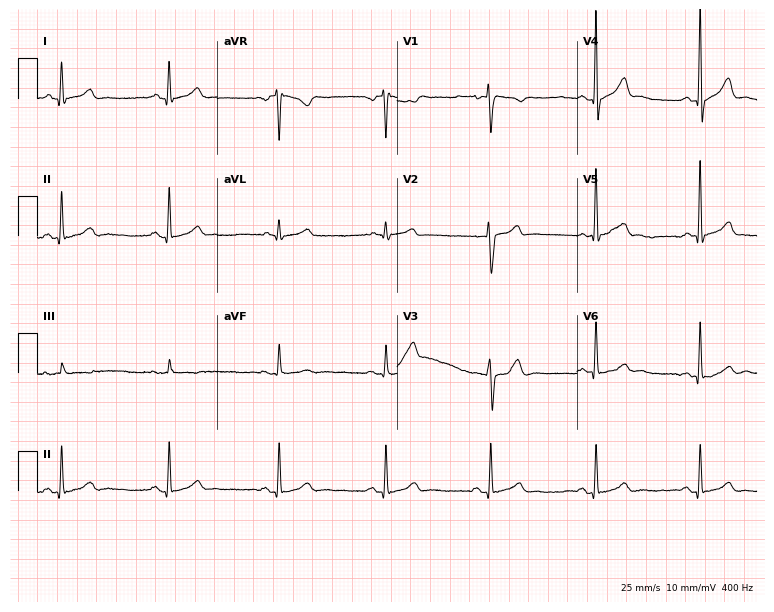
ECG — a 39-year-old male. Screened for six findings — first-degree AV block, right bundle branch block, left bundle branch block, sinus bradycardia, atrial fibrillation, sinus tachycardia — none is recorded.